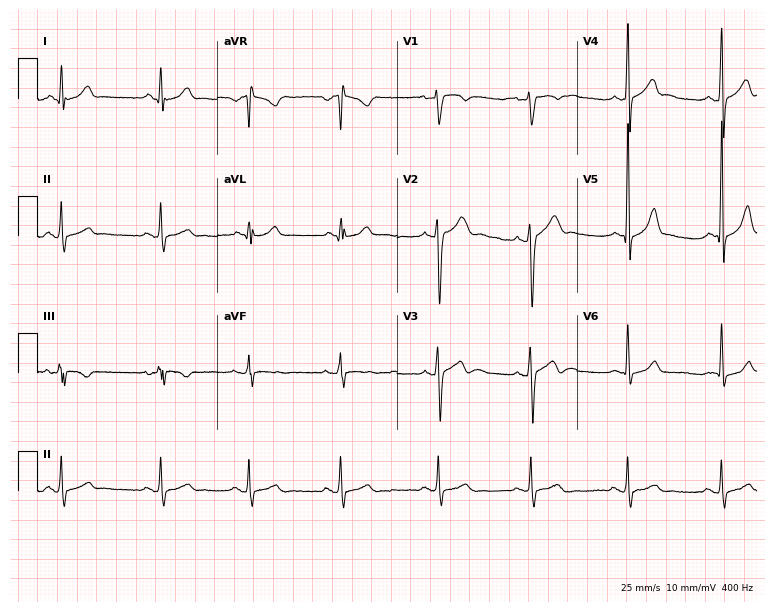
12-lead ECG from a man, 19 years old. Labelled as a normal ECG.